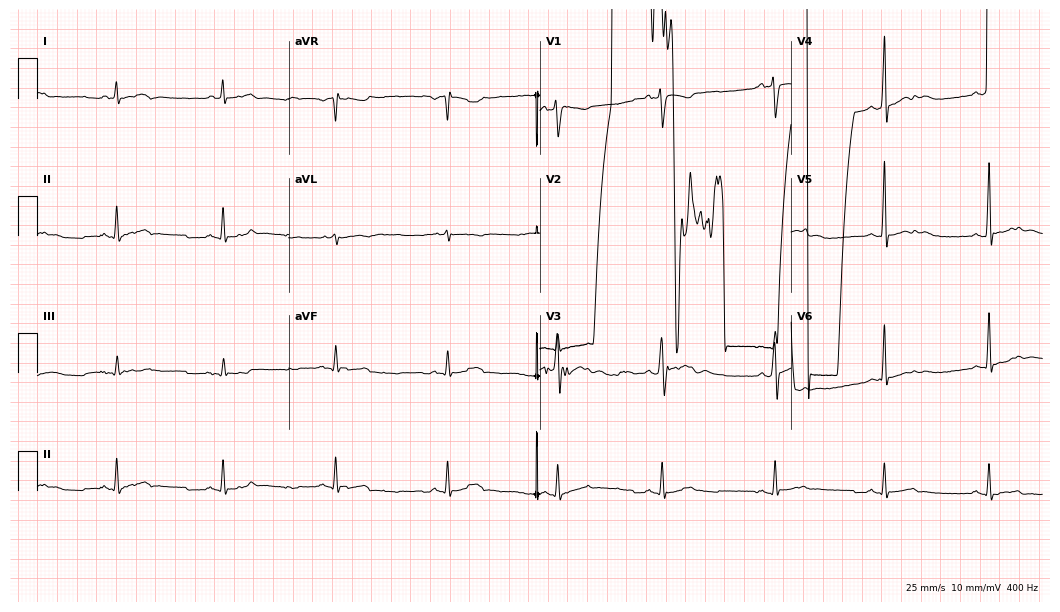
Resting 12-lead electrocardiogram (10.2-second recording at 400 Hz). Patient: a 30-year-old man. None of these six findings is recorded: first-degree AV block, right bundle branch block (RBBB), left bundle branch block (LBBB), sinus bradycardia, atrial fibrillation (AF), sinus tachycardia.